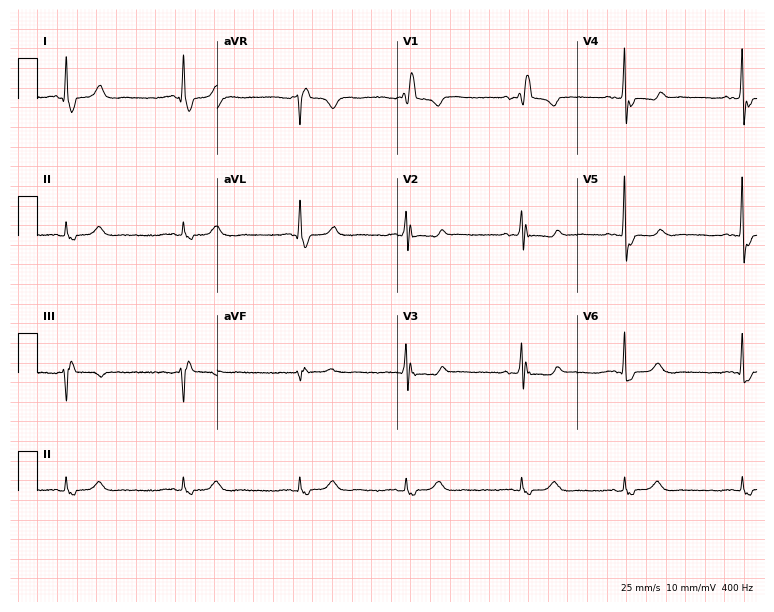
Resting 12-lead electrocardiogram. Patient: a 71-year-old female. The tracing shows right bundle branch block.